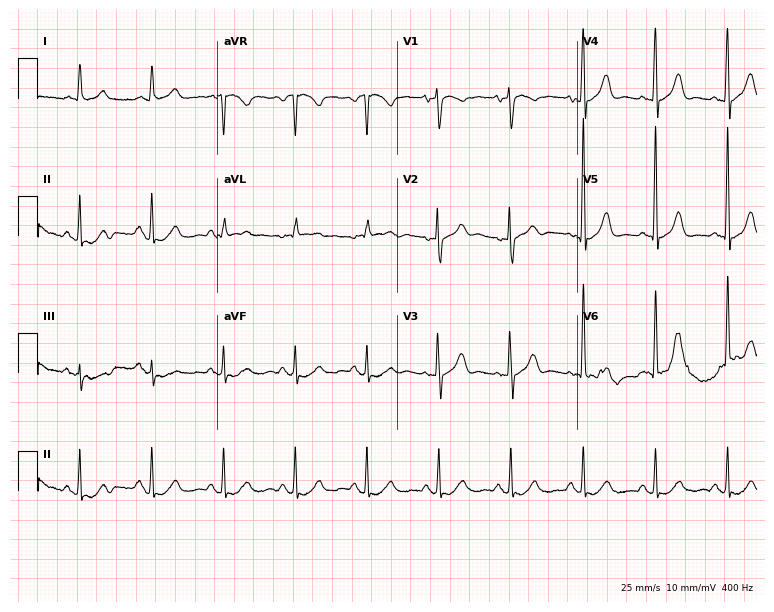
12-lead ECG from a female patient, 84 years old (7.3-second recording at 400 Hz). No first-degree AV block, right bundle branch block (RBBB), left bundle branch block (LBBB), sinus bradycardia, atrial fibrillation (AF) or sinus tachycardia recorded for this tracing.